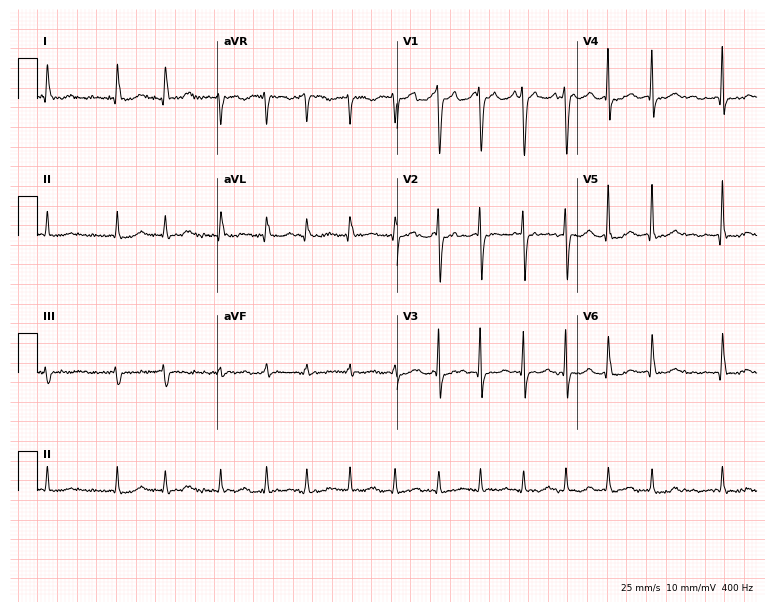
Standard 12-lead ECG recorded from a woman, 69 years old. The tracing shows atrial fibrillation (AF).